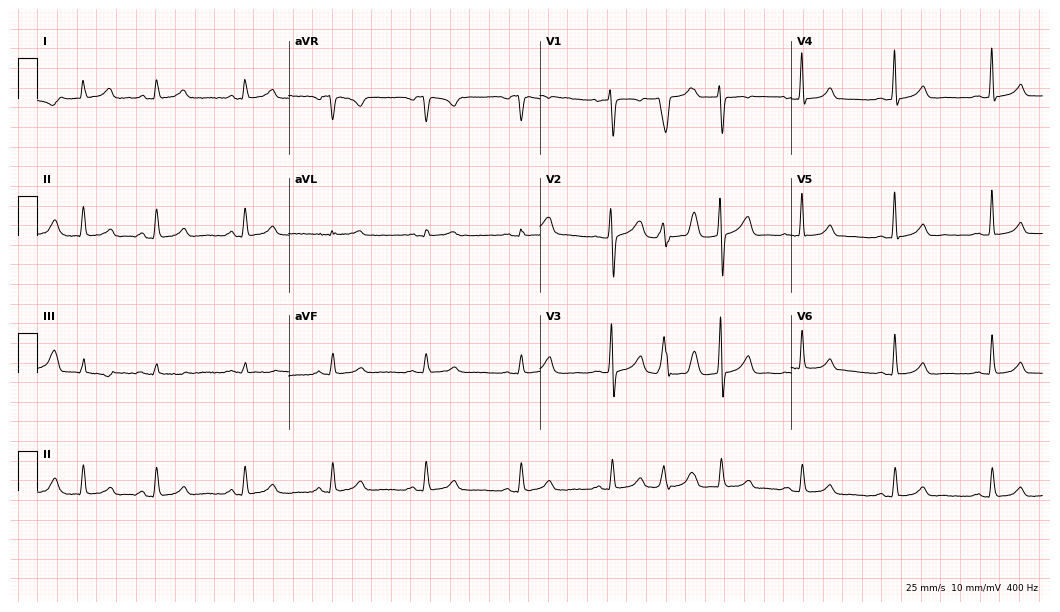
Electrocardiogram (10.2-second recording at 400 Hz), a 49-year-old woman. Of the six screened findings (first-degree AV block, right bundle branch block, left bundle branch block, sinus bradycardia, atrial fibrillation, sinus tachycardia), none is recorded.